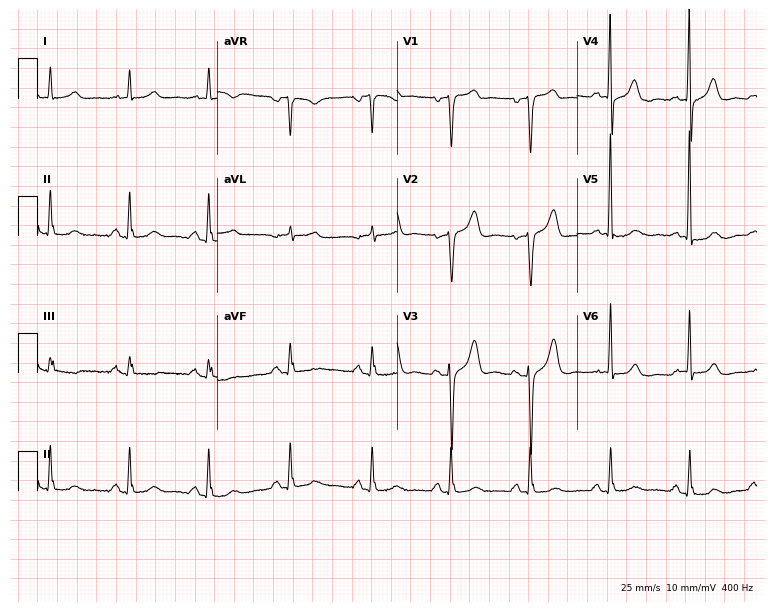
Resting 12-lead electrocardiogram. Patient: a man, 75 years old. None of these six findings is recorded: first-degree AV block, right bundle branch block, left bundle branch block, sinus bradycardia, atrial fibrillation, sinus tachycardia.